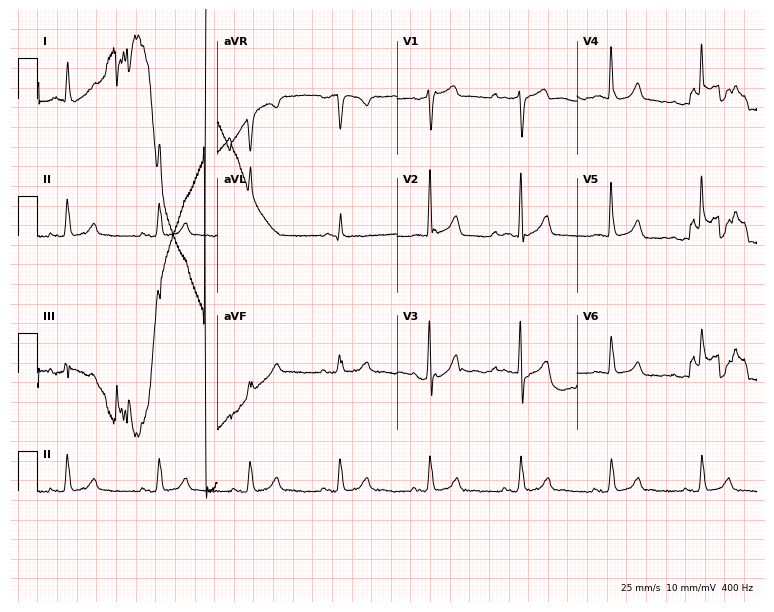
Standard 12-lead ECG recorded from a male, 71 years old. None of these six findings is recorded: first-degree AV block, right bundle branch block, left bundle branch block, sinus bradycardia, atrial fibrillation, sinus tachycardia. Only these six findings were labelled.